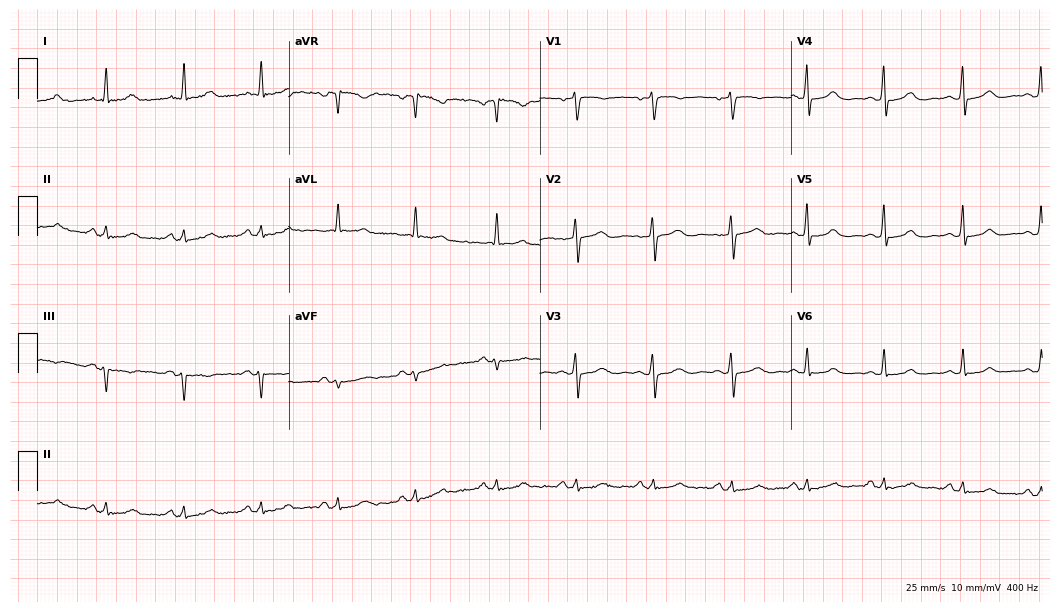
Electrocardiogram, a 57-year-old woman. Of the six screened findings (first-degree AV block, right bundle branch block (RBBB), left bundle branch block (LBBB), sinus bradycardia, atrial fibrillation (AF), sinus tachycardia), none is recorded. Other findings, if any, are not listed.